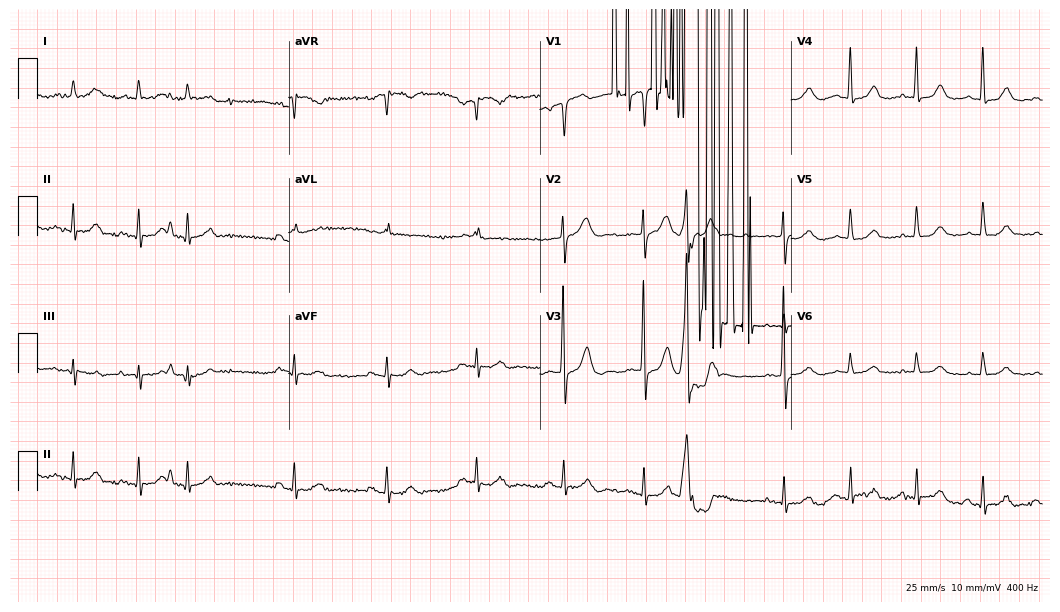
Resting 12-lead electrocardiogram. Patient: an 82-year-old man. None of these six findings is recorded: first-degree AV block, right bundle branch block, left bundle branch block, sinus bradycardia, atrial fibrillation, sinus tachycardia.